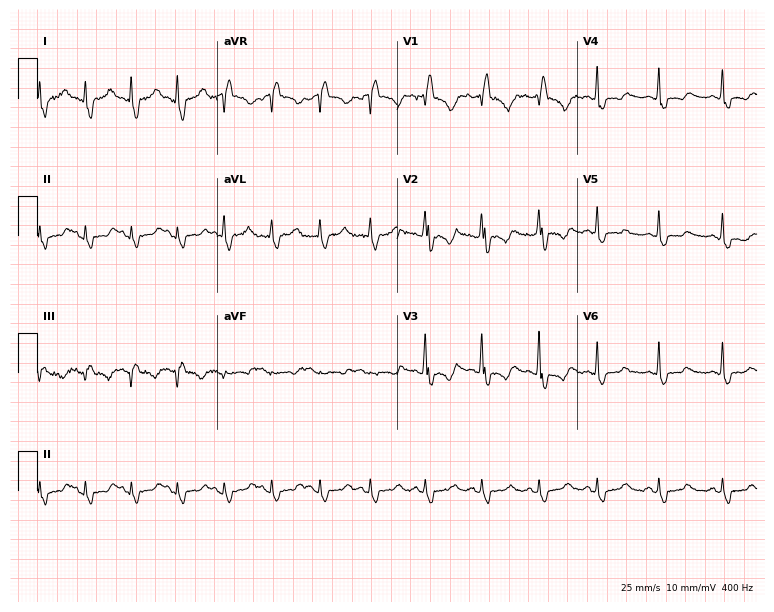
Standard 12-lead ECG recorded from a 27-year-old man (7.3-second recording at 400 Hz). The tracing shows right bundle branch block.